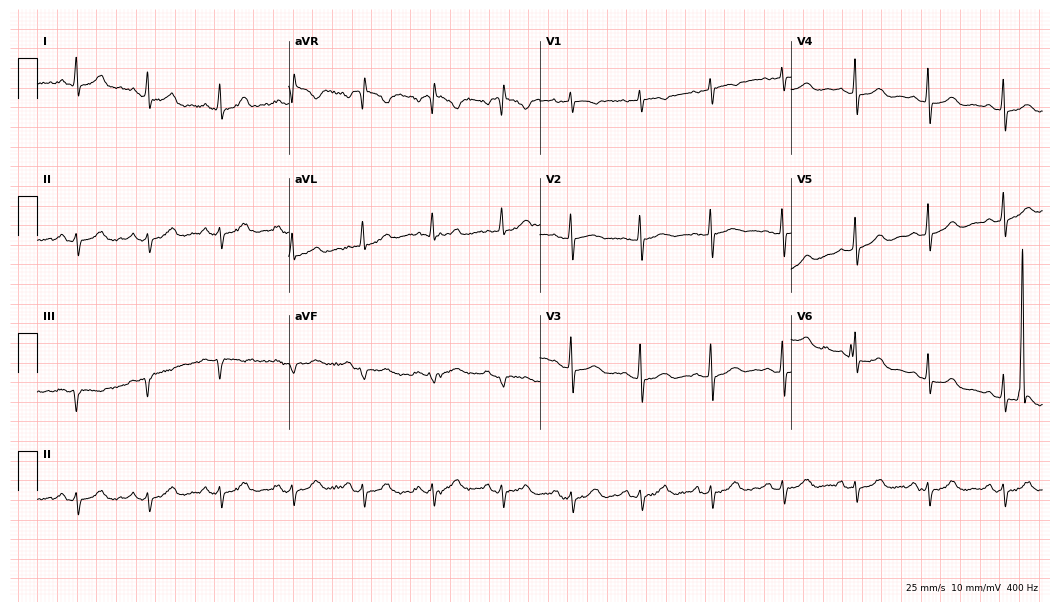
12-lead ECG from a 73-year-old female (10.2-second recording at 400 Hz). No first-degree AV block, right bundle branch block, left bundle branch block, sinus bradycardia, atrial fibrillation or sinus tachycardia recorded for this tracing.